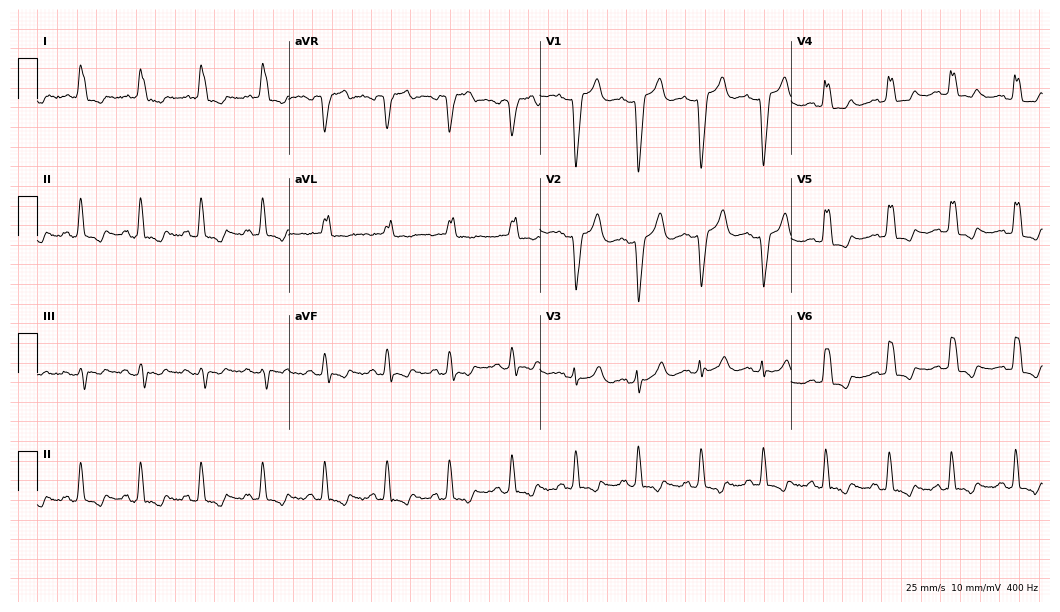
12-lead ECG from an 83-year-old woman (10.2-second recording at 400 Hz). Shows left bundle branch block.